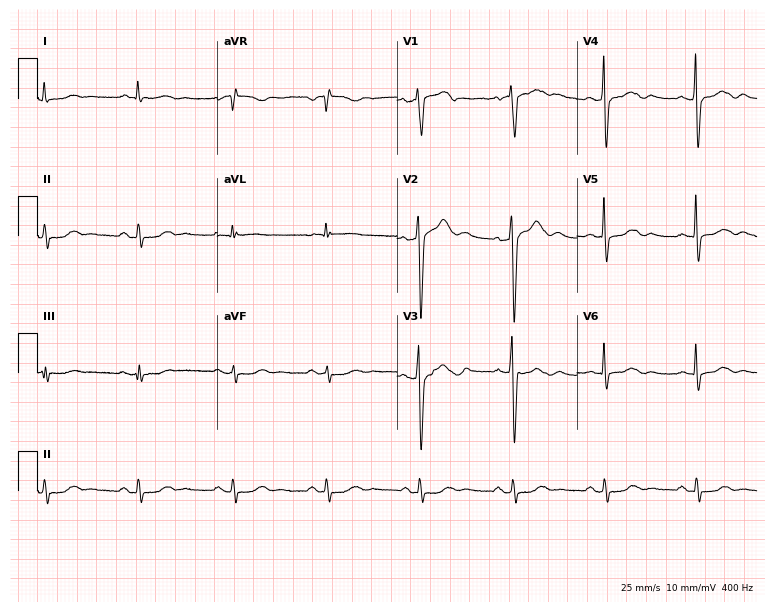
12-lead ECG from a 70-year-old female. Recorded interpretation: within normal limits.